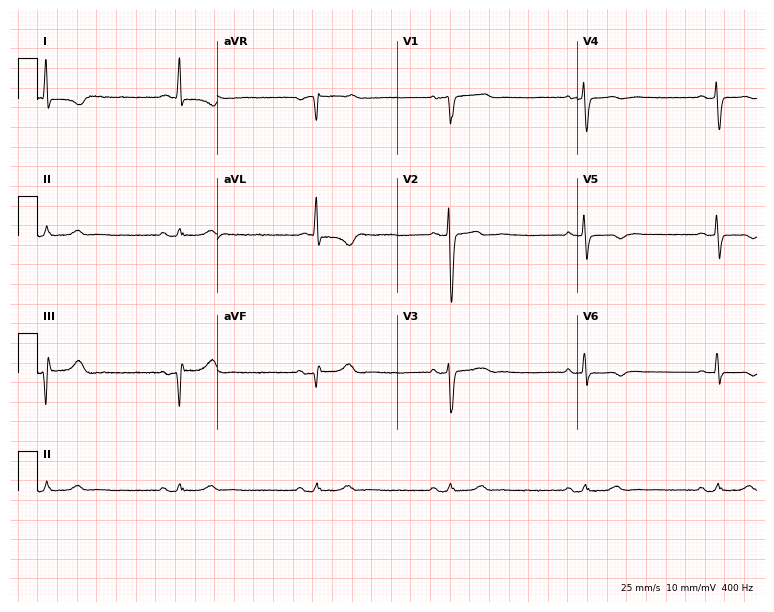
Standard 12-lead ECG recorded from a female patient, 85 years old. The tracing shows sinus bradycardia (a sinus rate of 50 beats per minute or less).